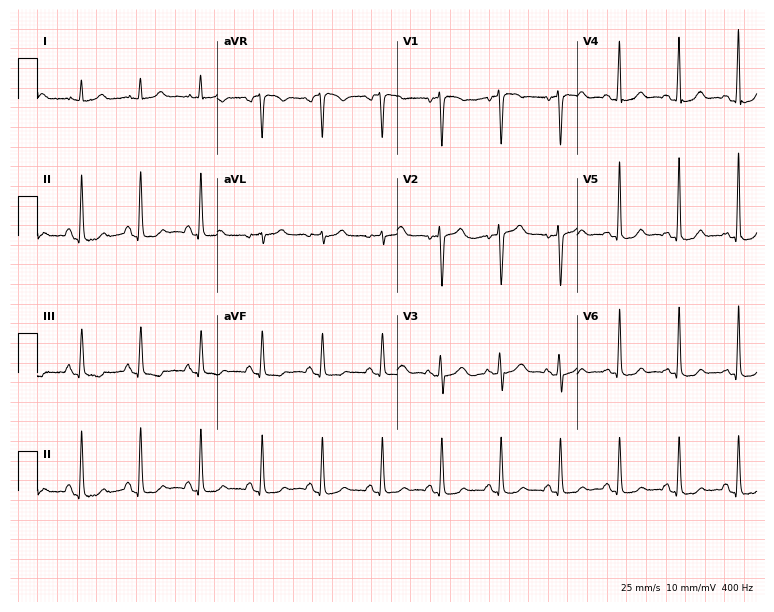
Standard 12-lead ECG recorded from a female patient, 37 years old. Read as a normal ECG.